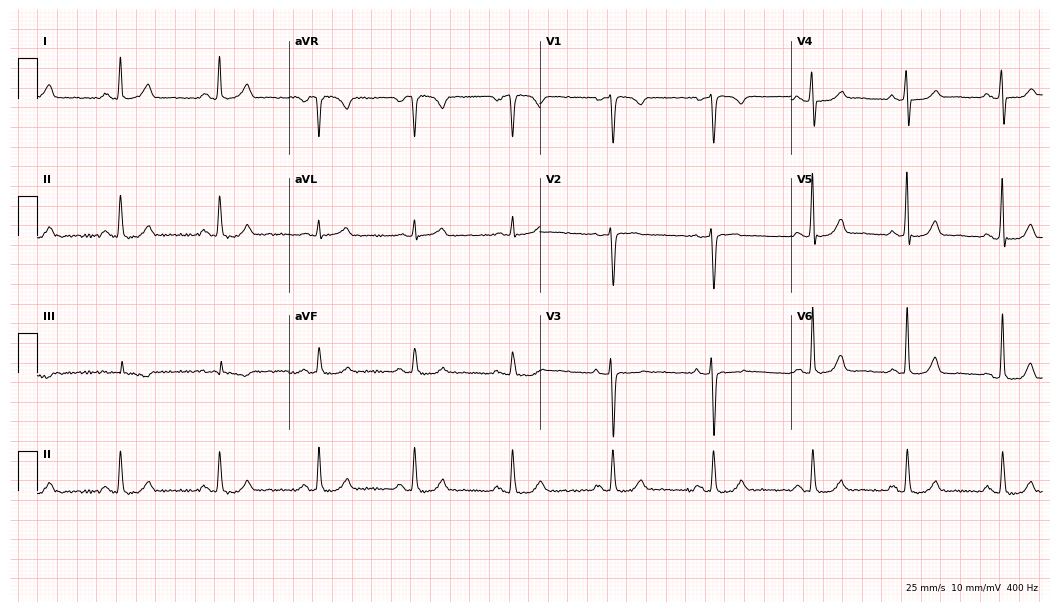
ECG (10.2-second recording at 400 Hz) — a woman, 54 years old. Labelled as a normal ECG.